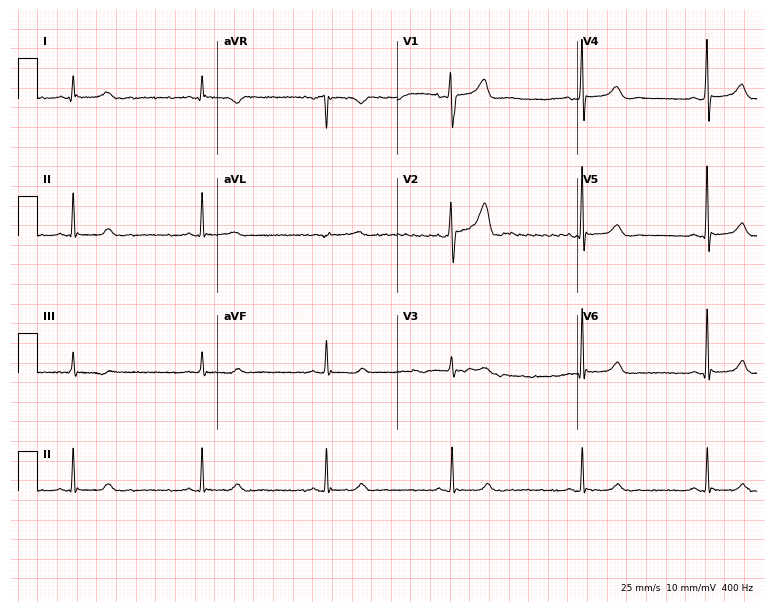
Resting 12-lead electrocardiogram (7.3-second recording at 400 Hz). Patient: a 41-year-old male. The tracing shows sinus bradycardia (a sinus rate of 50 beats per minute or less).